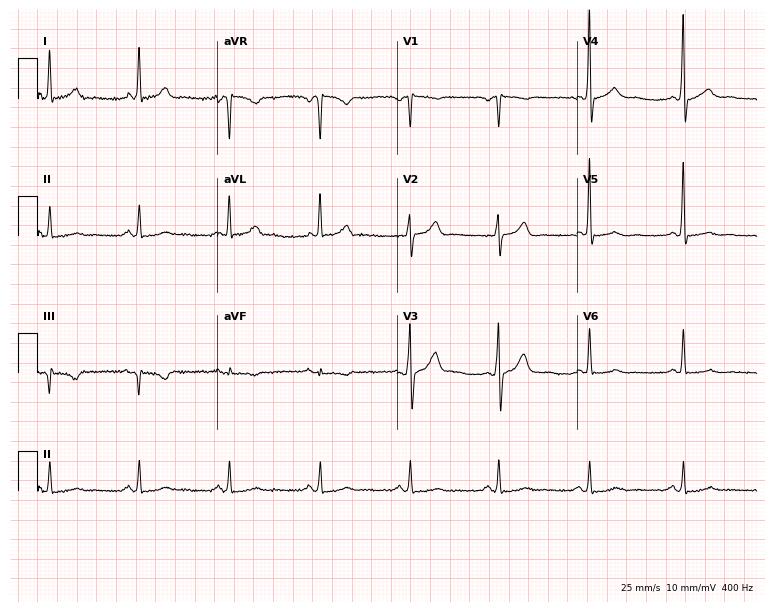
Resting 12-lead electrocardiogram (7.3-second recording at 400 Hz). Patient: a 46-year-old male. None of these six findings is recorded: first-degree AV block, right bundle branch block (RBBB), left bundle branch block (LBBB), sinus bradycardia, atrial fibrillation (AF), sinus tachycardia. Findings outside these six are not listed.